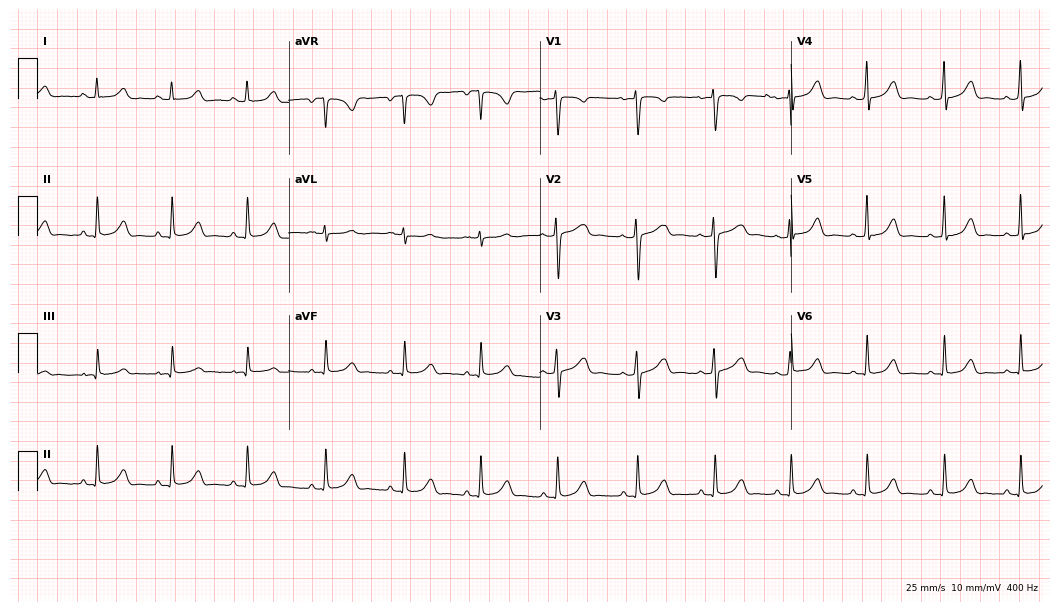
12-lead ECG from a 23-year-old female (10.2-second recording at 400 Hz). Recorded interpretation: within normal limits.